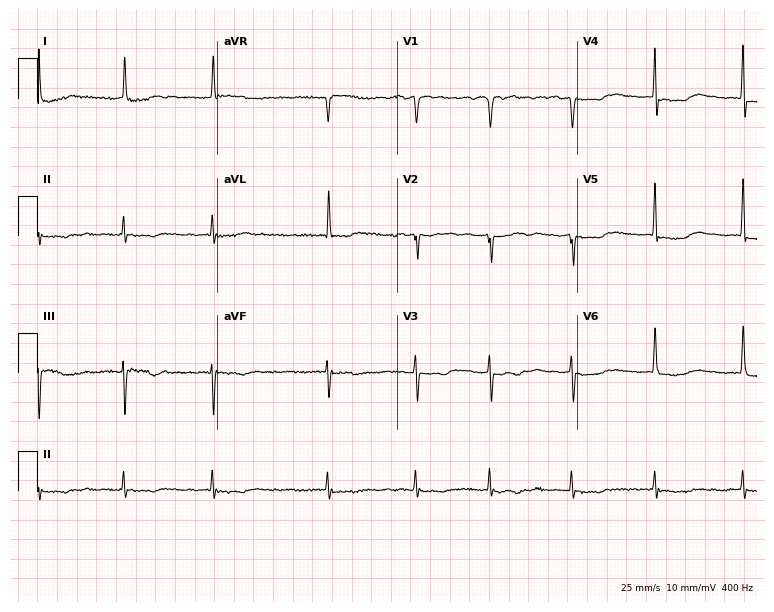
Standard 12-lead ECG recorded from an 83-year-old female. The tracing shows atrial fibrillation.